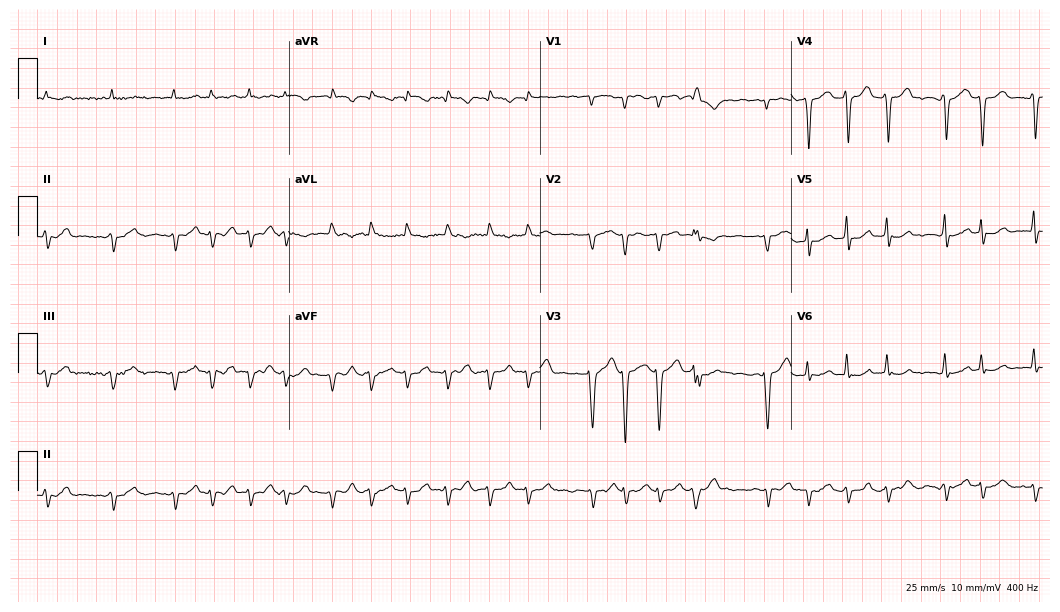
Electrocardiogram, an 84-year-old male patient. Interpretation includes atrial fibrillation.